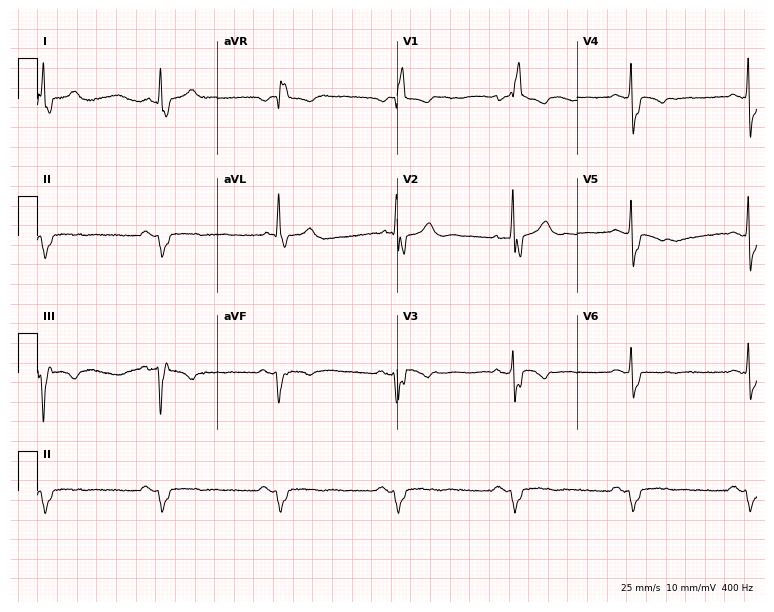
Standard 12-lead ECG recorded from a male patient, 74 years old (7.3-second recording at 400 Hz). The tracing shows right bundle branch block (RBBB).